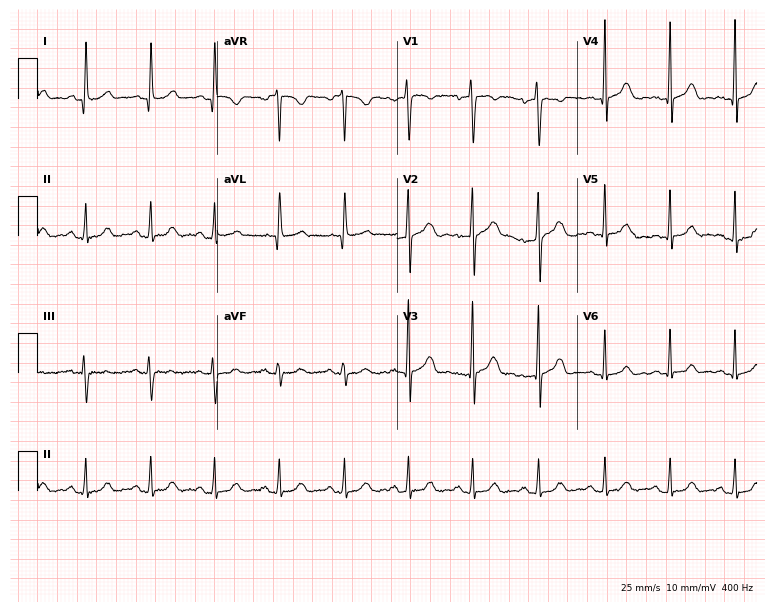
Standard 12-lead ECG recorded from a 38-year-old woman (7.3-second recording at 400 Hz). Read as a normal ECG.